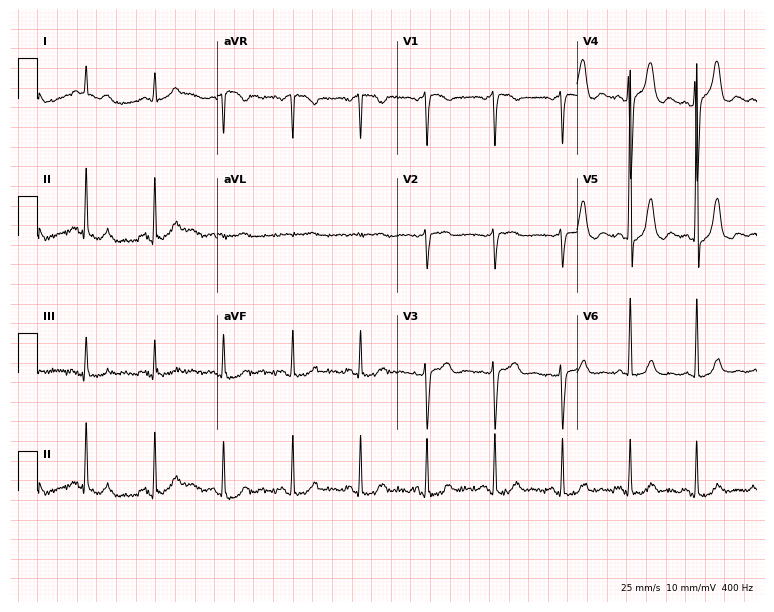
12-lead ECG from a female, 75 years old (7.3-second recording at 400 Hz). No first-degree AV block, right bundle branch block, left bundle branch block, sinus bradycardia, atrial fibrillation or sinus tachycardia recorded for this tracing.